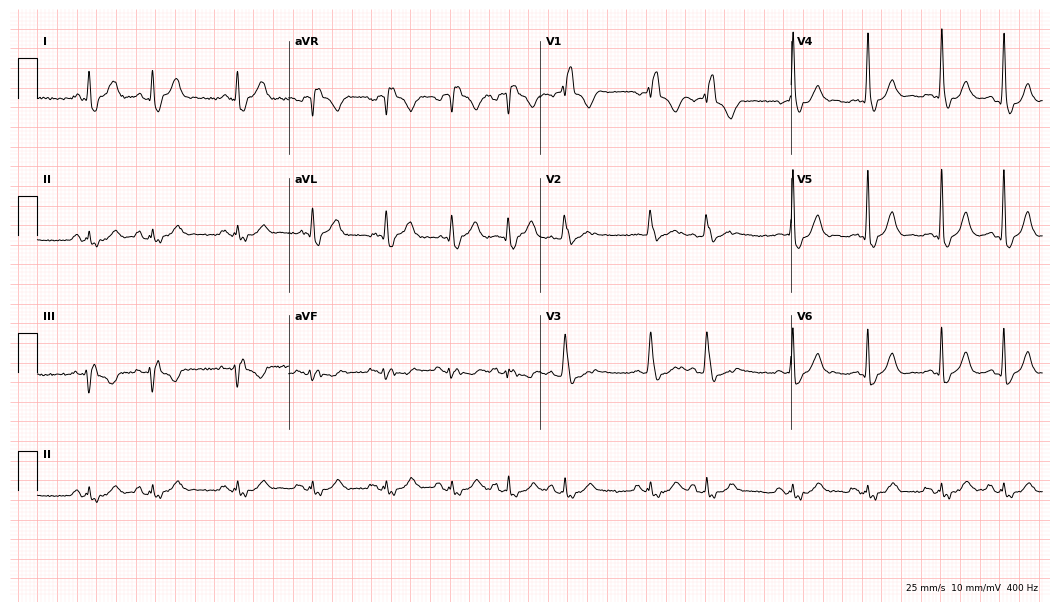
Standard 12-lead ECG recorded from an 84-year-old female patient. The tracing shows right bundle branch block (RBBB).